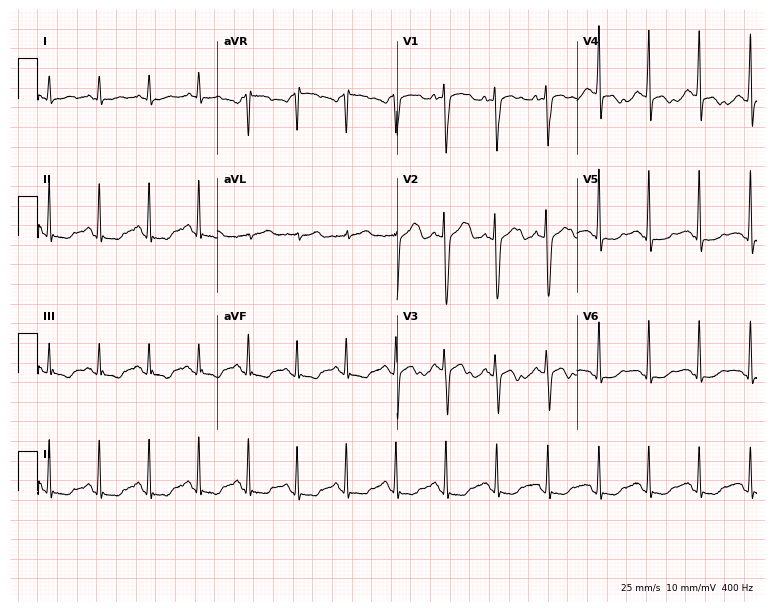
Electrocardiogram, a 31-year-old female. Of the six screened findings (first-degree AV block, right bundle branch block (RBBB), left bundle branch block (LBBB), sinus bradycardia, atrial fibrillation (AF), sinus tachycardia), none is recorded. Findings outside these six are not listed.